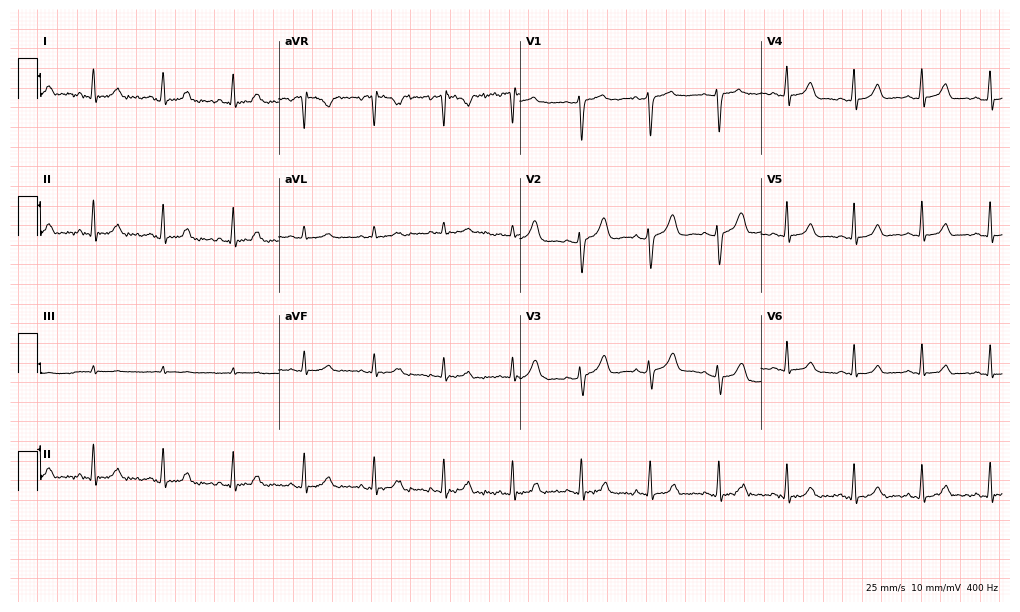
Standard 12-lead ECG recorded from a female, 28 years old (9.8-second recording at 400 Hz). Read as a normal ECG.